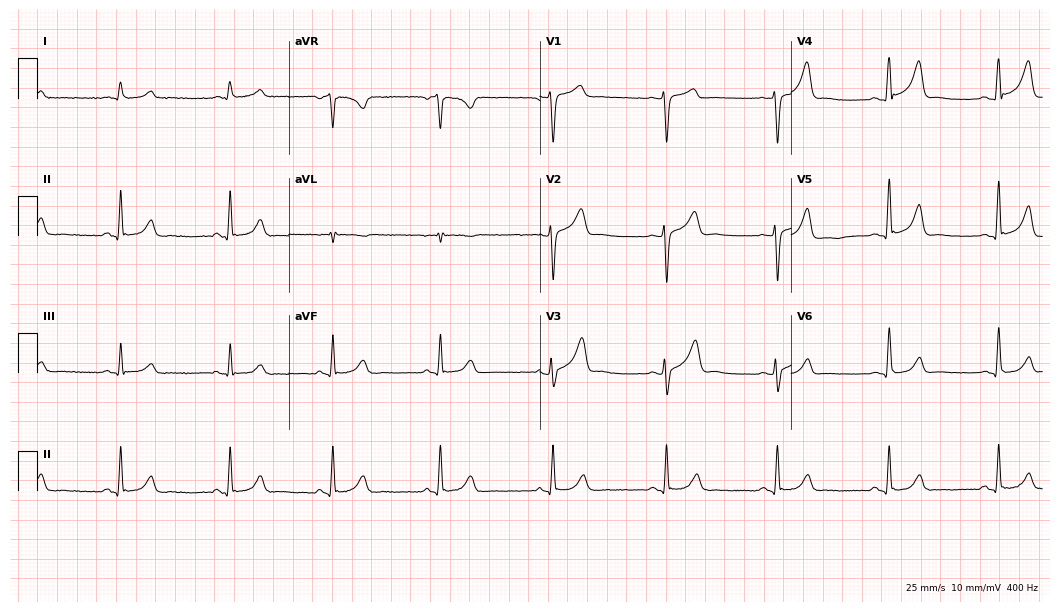
Resting 12-lead electrocardiogram (10.2-second recording at 400 Hz). Patient: a male, 55 years old. Read as a normal ECG.